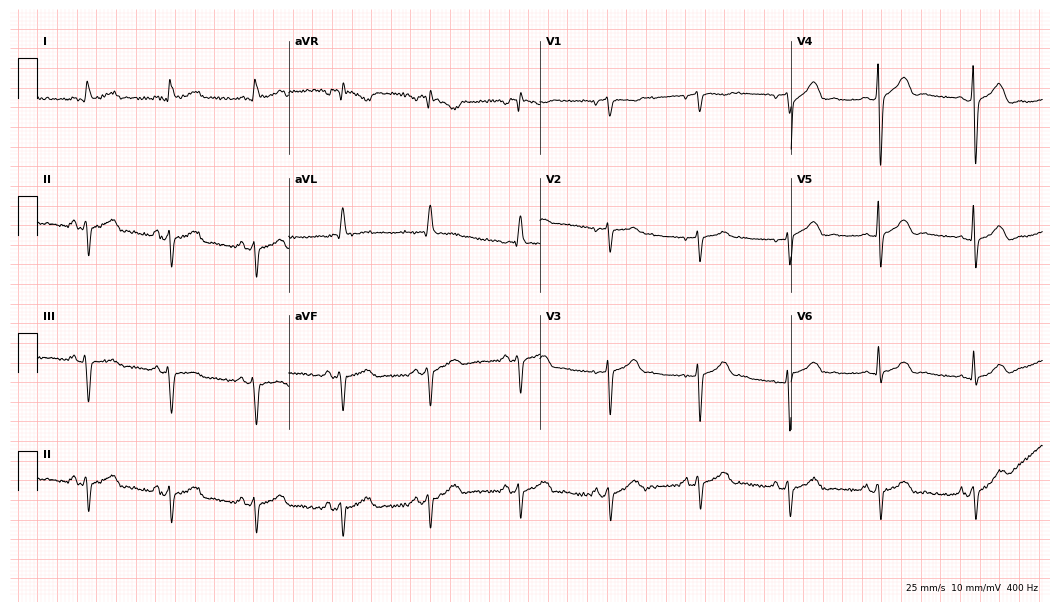
12-lead ECG (10.2-second recording at 400 Hz) from a 71-year-old man. Screened for six findings — first-degree AV block, right bundle branch block, left bundle branch block, sinus bradycardia, atrial fibrillation, sinus tachycardia — none is recorded. Only these six findings were labelled.